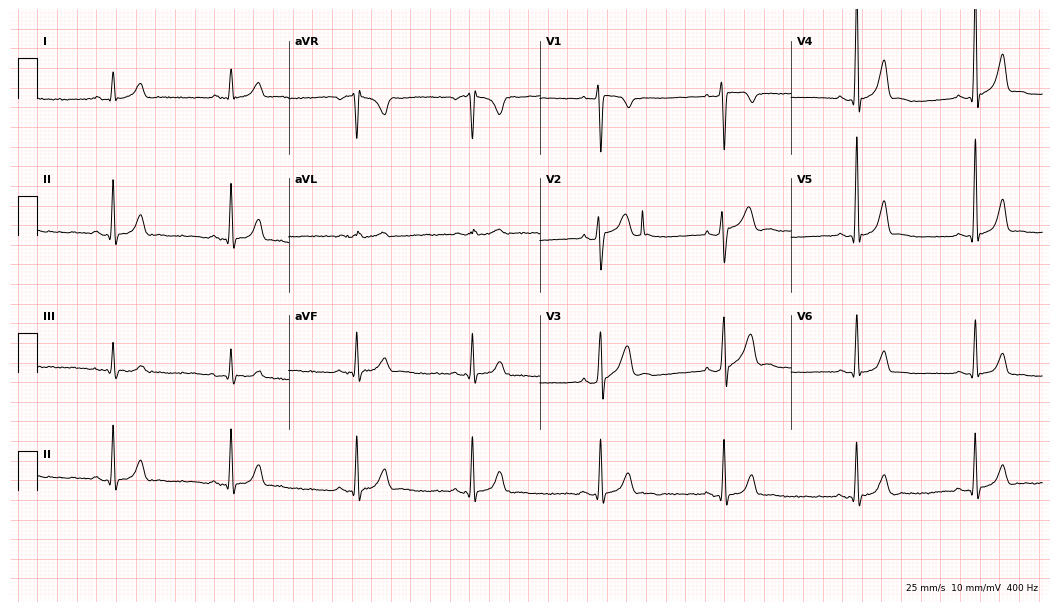
Standard 12-lead ECG recorded from a man, 19 years old (10.2-second recording at 400 Hz). None of these six findings is recorded: first-degree AV block, right bundle branch block (RBBB), left bundle branch block (LBBB), sinus bradycardia, atrial fibrillation (AF), sinus tachycardia.